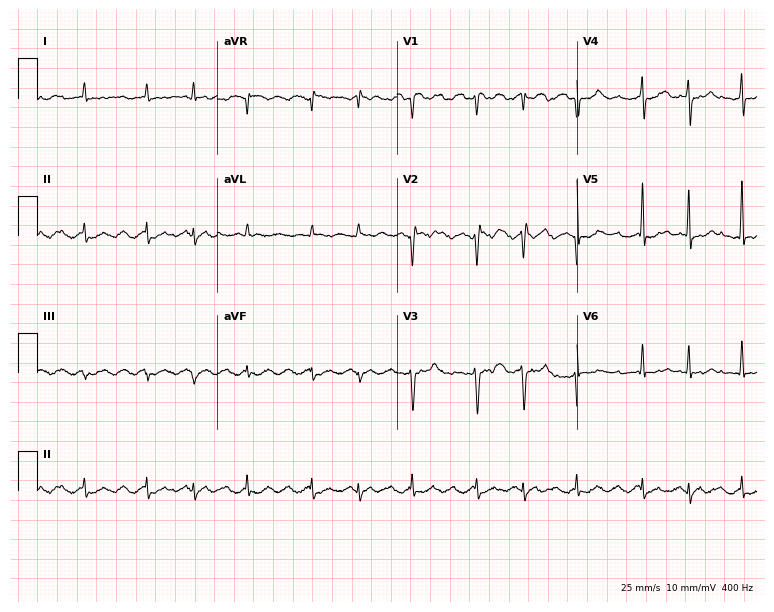
Standard 12-lead ECG recorded from a woman, 79 years old. The tracing shows atrial fibrillation (AF).